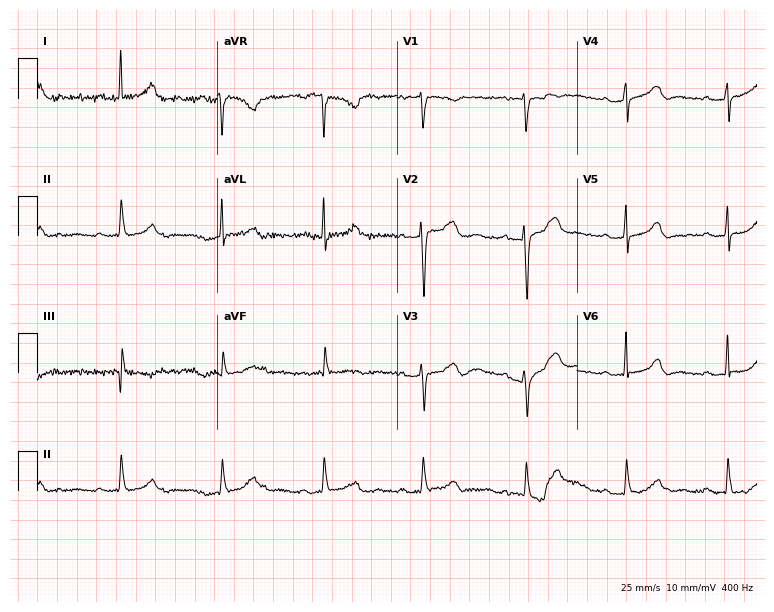
ECG — a female, 63 years old. Labelled as a normal ECG.